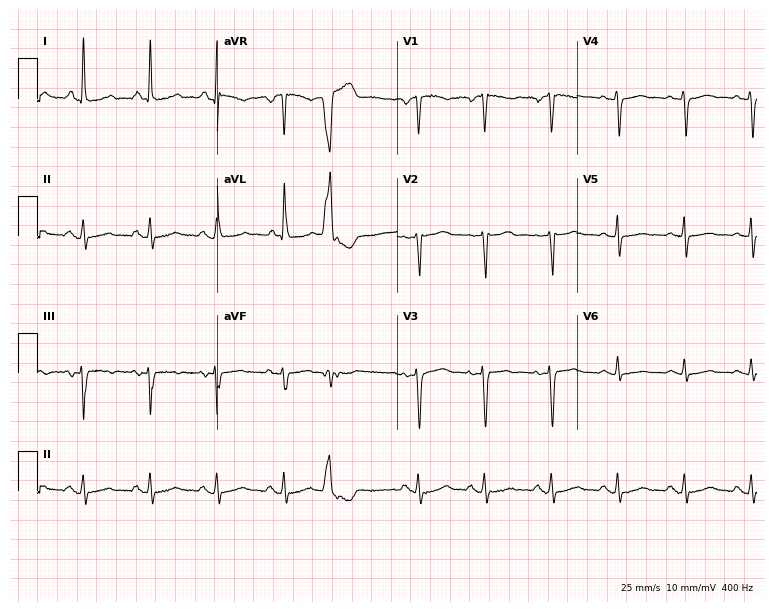
12-lead ECG from an 84-year-old female. Screened for six findings — first-degree AV block, right bundle branch block, left bundle branch block, sinus bradycardia, atrial fibrillation, sinus tachycardia — none is recorded. Other findings, if any, are not listed.